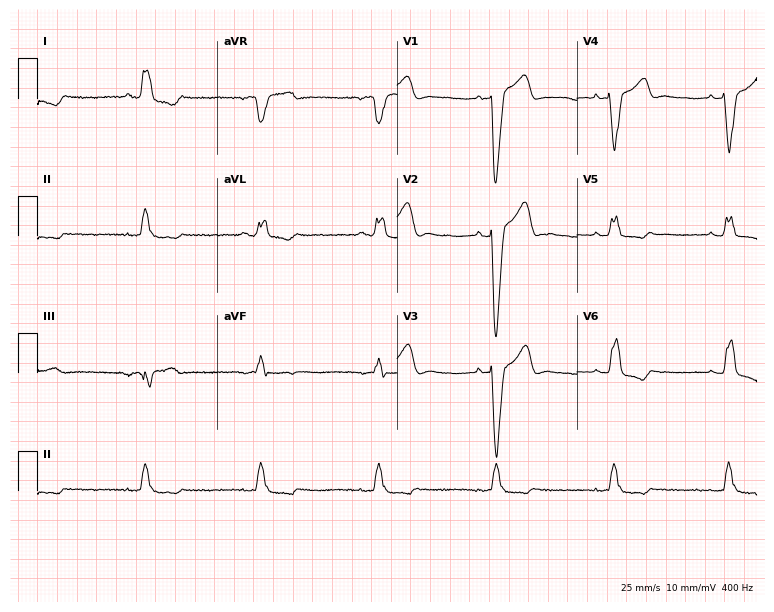
Electrocardiogram, a 67-year-old male patient. Interpretation includes left bundle branch block.